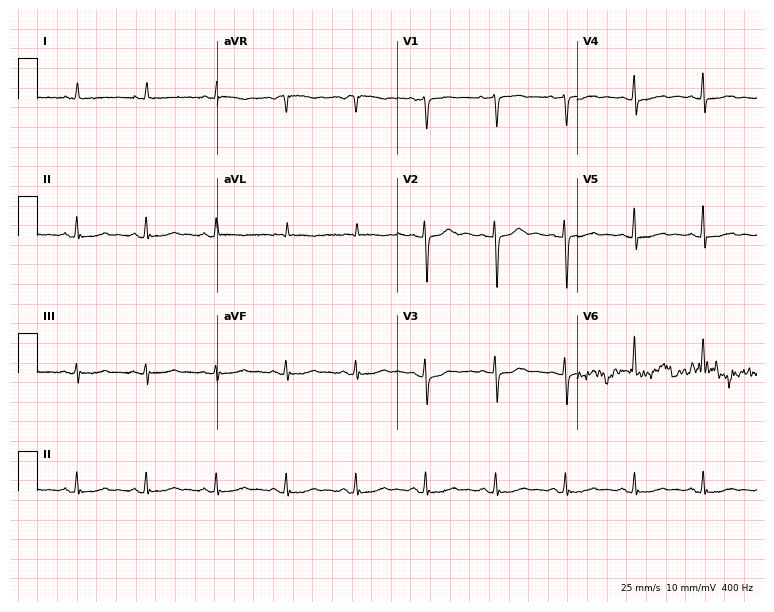
ECG — a woman, 77 years old. Screened for six findings — first-degree AV block, right bundle branch block (RBBB), left bundle branch block (LBBB), sinus bradycardia, atrial fibrillation (AF), sinus tachycardia — none is recorded. Only these six findings were labelled.